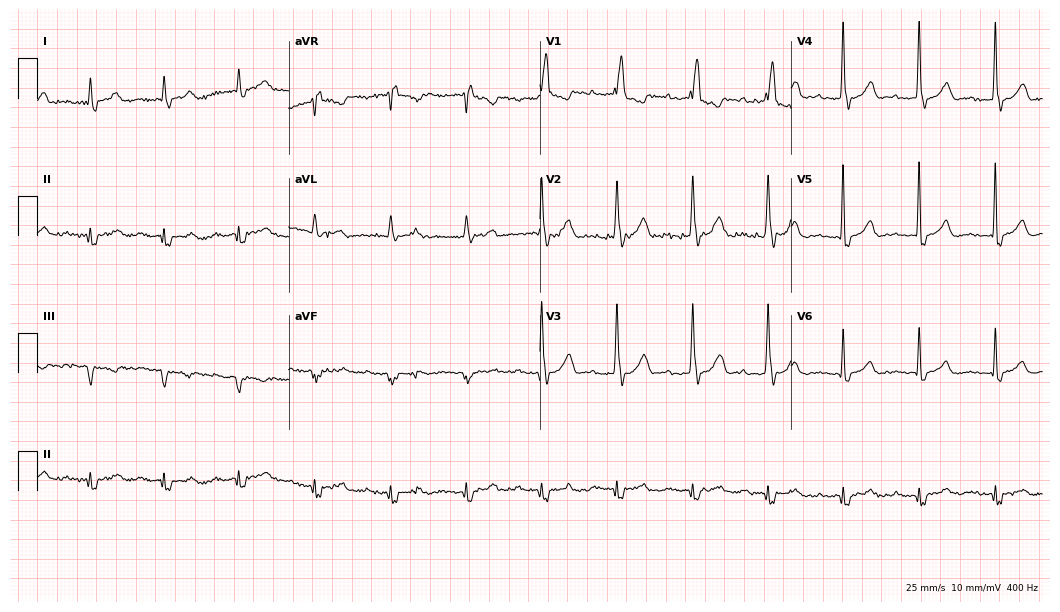
Resting 12-lead electrocardiogram (10.2-second recording at 400 Hz). Patient: a male, 83 years old. The tracing shows first-degree AV block, right bundle branch block.